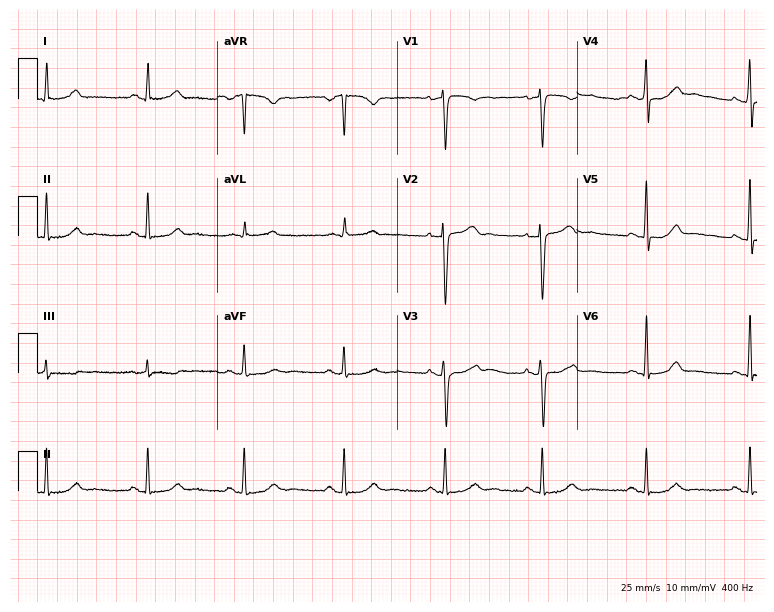
Electrocardiogram (7.3-second recording at 400 Hz), a 35-year-old female patient. Of the six screened findings (first-degree AV block, right bundle branch block (RBBB), left bundle branch block (LBBB), sinus bradycardia, atrial fibrillation (AF), sinus tachycardia), none is recorded. Other findings, if any, are not listed.